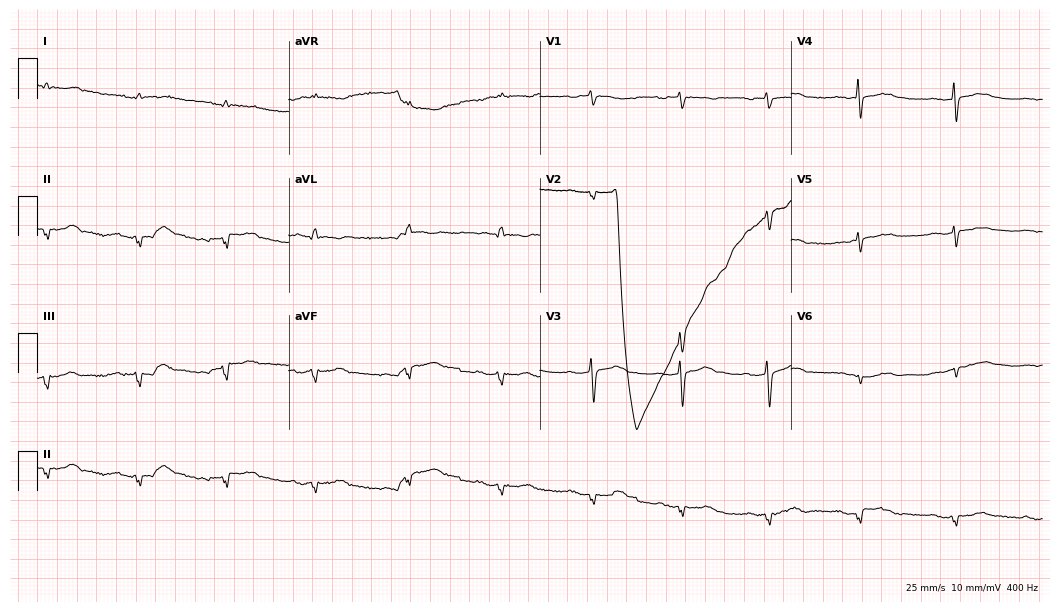
12-lead ECG (10.2-second recording at 400 Hz) from a woman, 75 years old. Screened for six findings — first-degree AV block, right bundle branch block, left bundle branch block, sinus bradycardia, atrial fibrillation, sinus tachycardia — none is recorded.